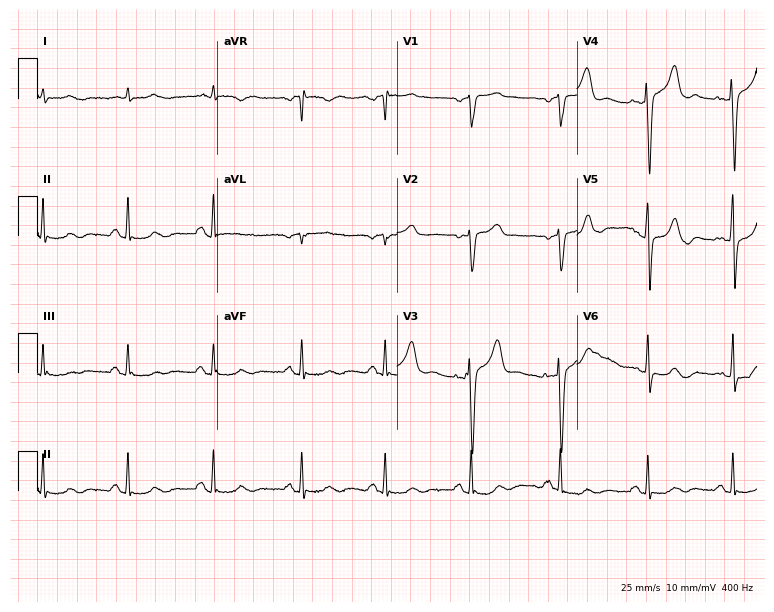
12-lead ECG from an 82-year-old man. Screened for six findings — first-degree AV block, right bundle branch block, left bundle branch block, sinus bradycardia, atrial fibrillation, sinus tachycardia — none is recorded.